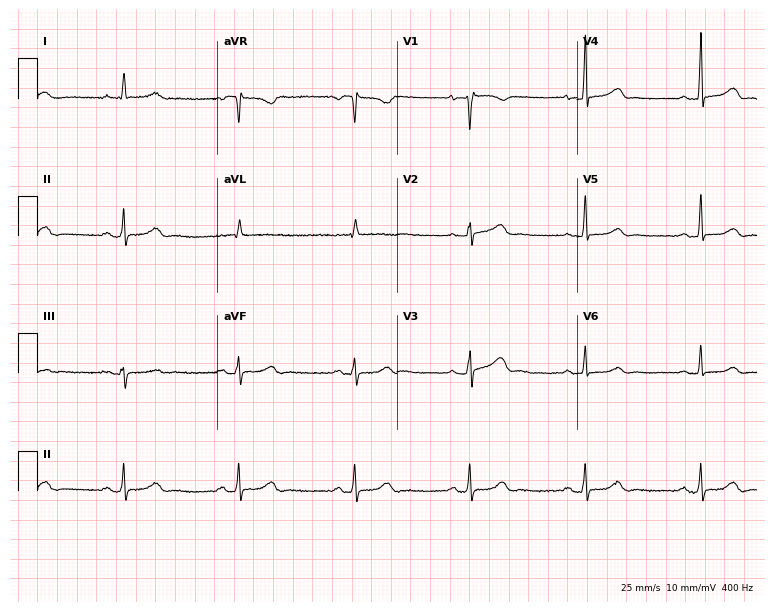
Resting 12-lead electrocardiogram (7.3-second recording at 400 Hz). Patient: a 52-year-old female. Read as a normal ECG.